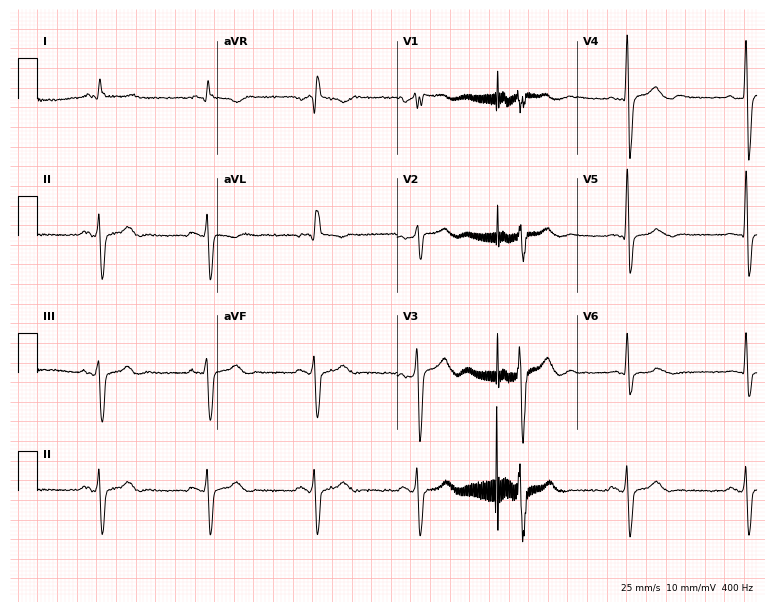
Resting 12-lead electrocardiogram. Patient: a male, 72 years old. None of these six findings is recorded: first-degree AV block, right bundle branch block, left bundle branch block, sinus bradycardia, atrial fibrillation, sinus tachycardia. Findings outside these six are not listed.